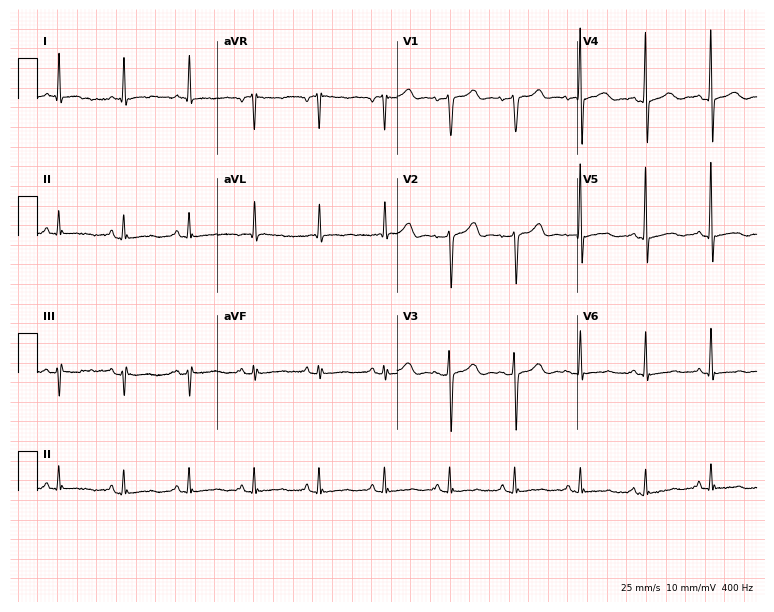
12-lead ECG (7.3-second recording at 400 Hz) from a woman, 71 years old. Screened for six findings — first-degree AV block, right bundle branch block, left bundle branch block, sinus bradycardia, atrial fibrillation, sinus tachycardia — none is recorded. Only these six findings were labelled.